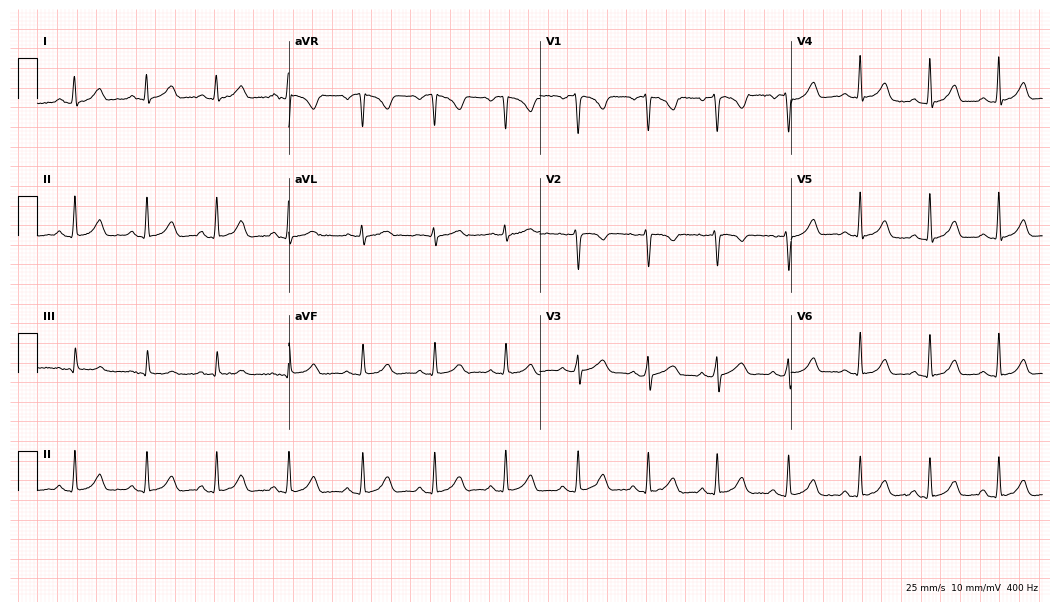
Standard 12-lead ECG recorded from a 20-year-old woman. Read as a normal ECG.